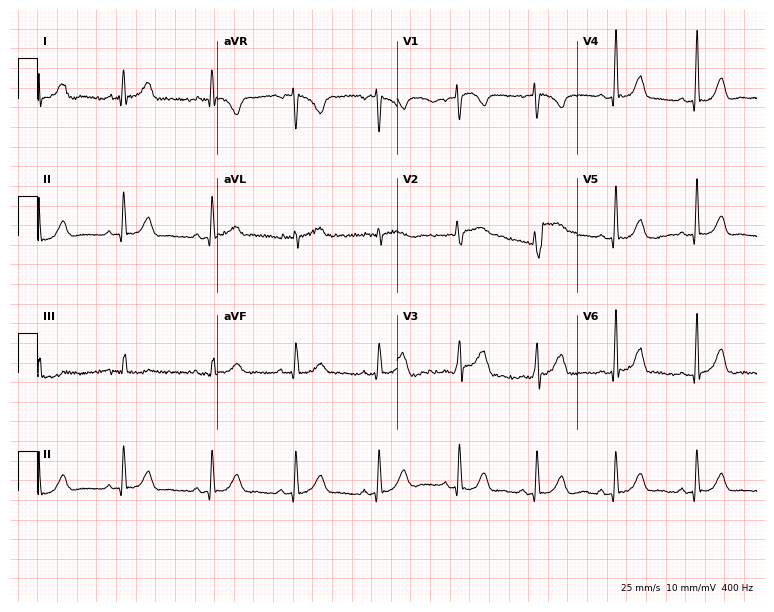
Electrocardiogram, a 60-year-old female. Overall reading on record: normal ECG.